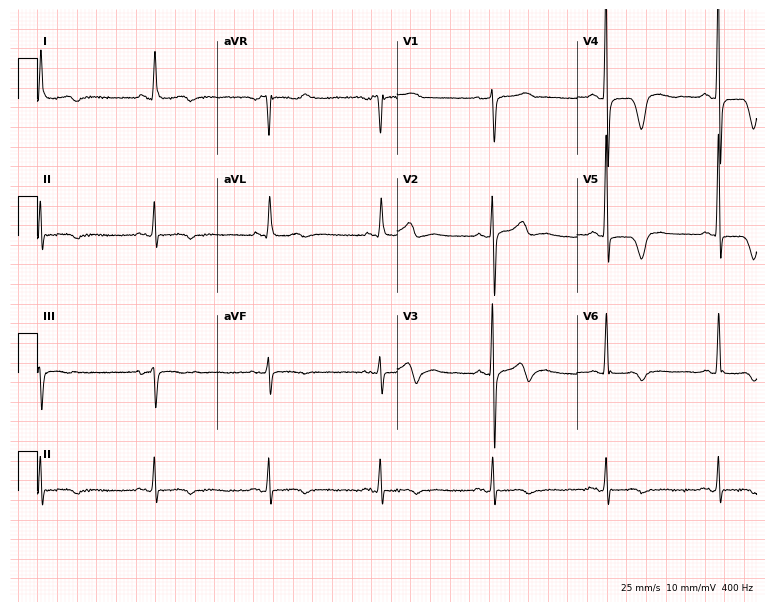
Standard 12-lead ECG recorded from a female patient, 70 years old (7.3-second recording at 400 Hz). None of these six findings is recorded: first-degree AV block, right bundle branch block, left bundle branch block, sinus bradycardia, atrial fibrillation, sinus tachycardia. Only these six findings were labelled.